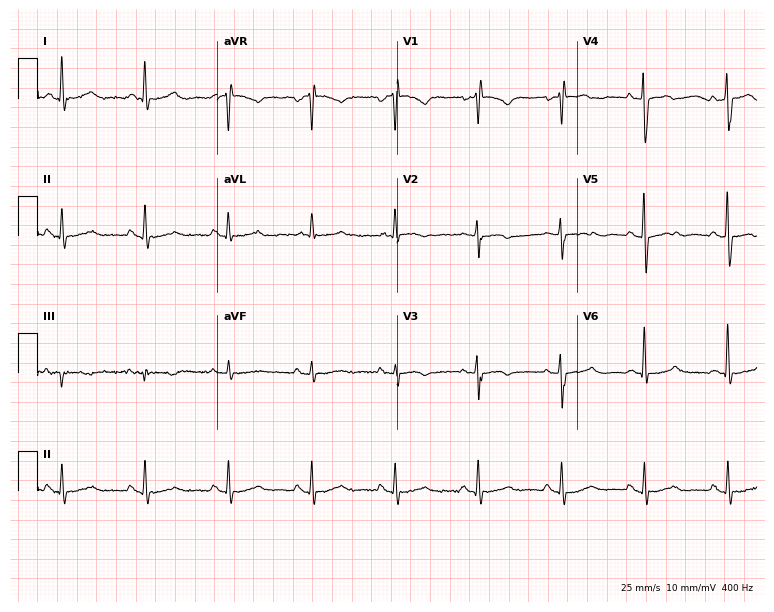
ECG (7.3-second recording at 400 Hz) — a woman, 72 years old. Screened for six findings — first-degree AV block, right bundle branch block, left bundle branch block, sinus bradycardia, atrial fibrillation, sinus tachycardia — none is recorded.